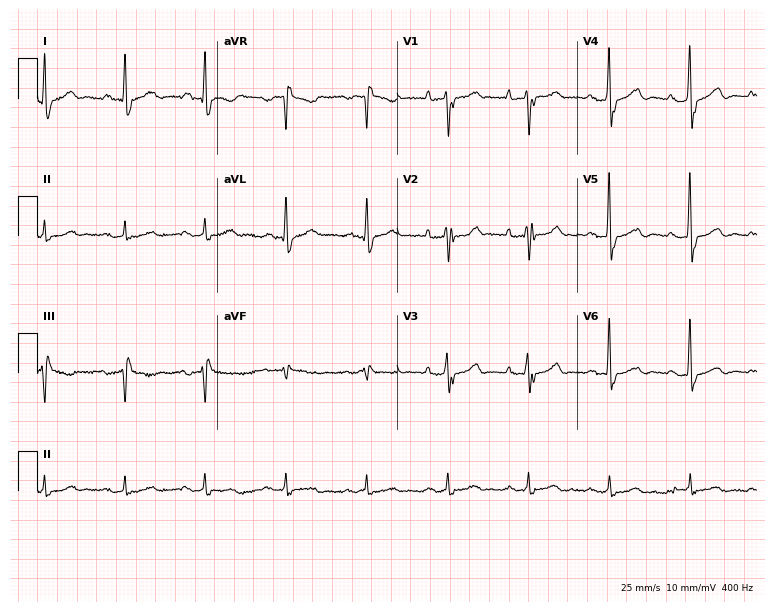
Standard 12-lead ECG recorded from a male patient, 74 years old (7.3-second recording at 400 Hz). The tracing shows left bundle branch block.